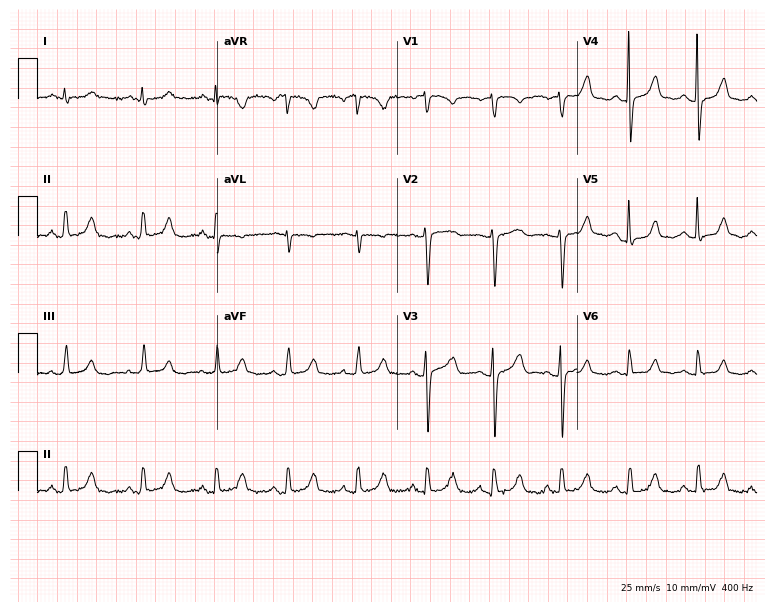
12-lead ECG from a female patient, 31 years old. Recorded interpretation: within normal limits.